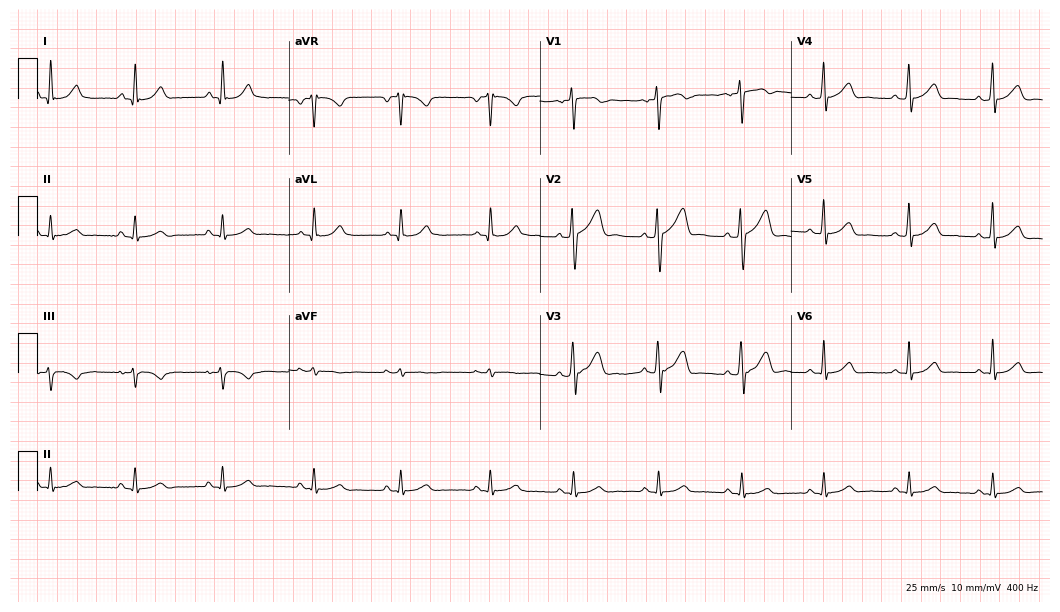
Resting 12-lead electrocardiogram. Patient: a 40-year-old male. Read as a normal ECG.